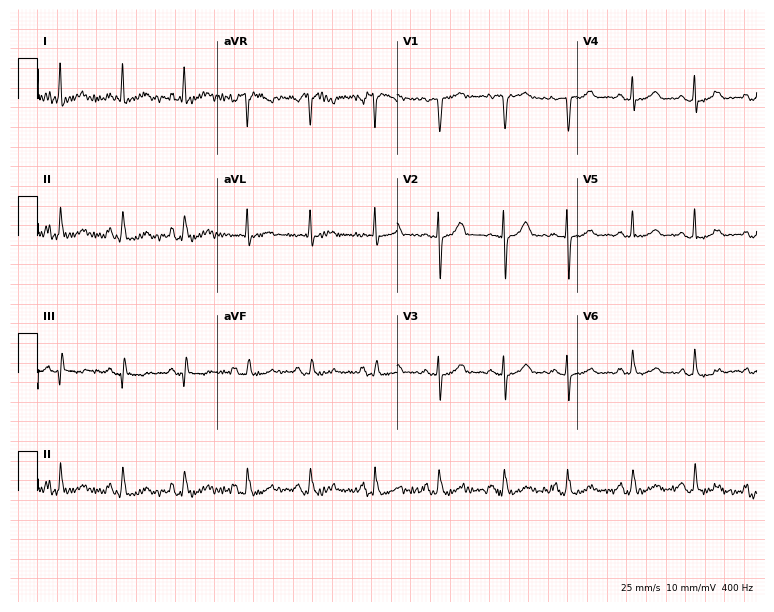
Standard 12-lead ECG recorded from a 59-year-old female patient. Read as a normal ECG.